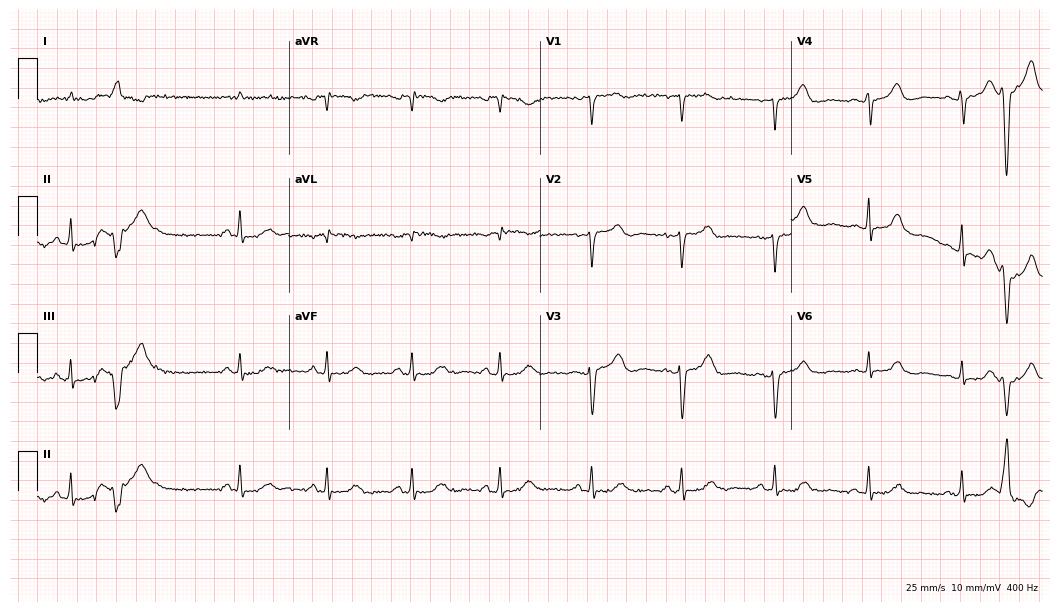
Resting 12-lead electrocardiogram. Patient: a 67-year-old man. None of these six findings is recorded: first-degree AV block, right bundle branch block, left bundle branch block, sinus bradycardia, atrial fibrillation, sinus tachycardia.